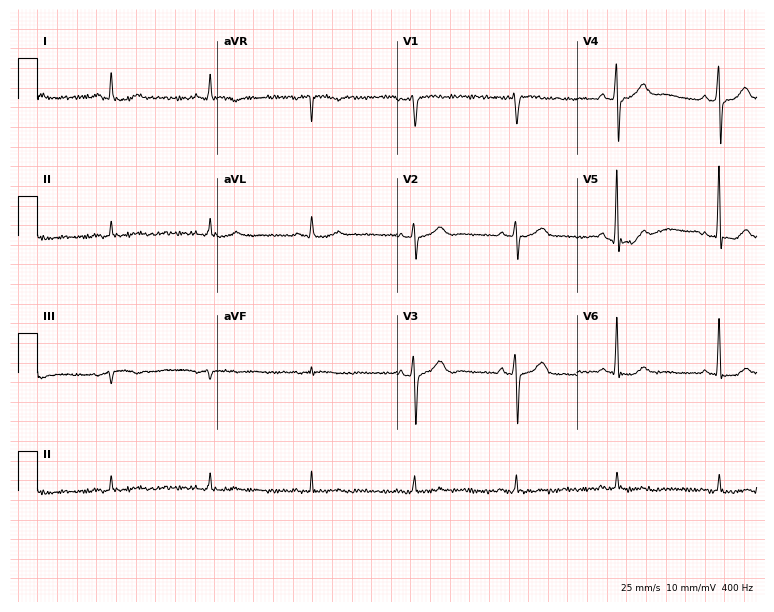
Electrocardiogram (7.3-second recording at 400 Hz), an 81-year-old man. Overall reading on record: normal ECG.